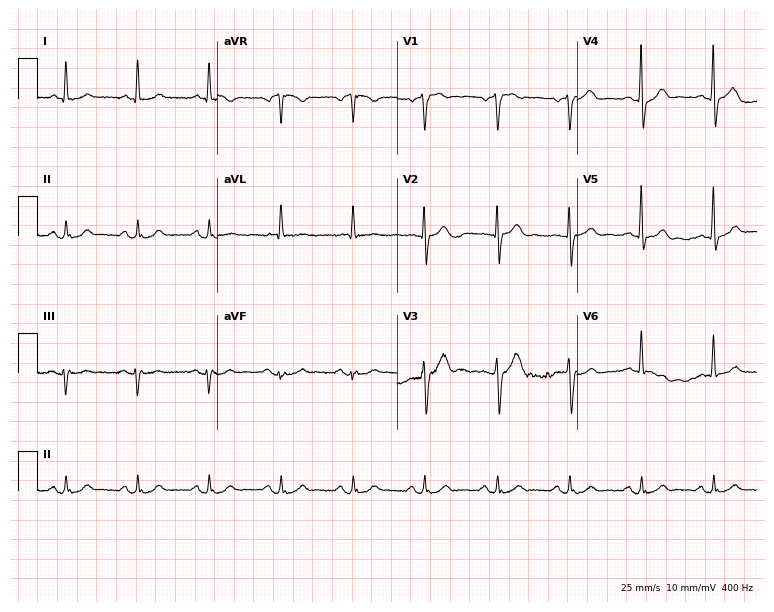
Electrocardiogram (7.3-second recording at 400 Hz), a male, 69 years old. Overall reading on record: normal ECG.